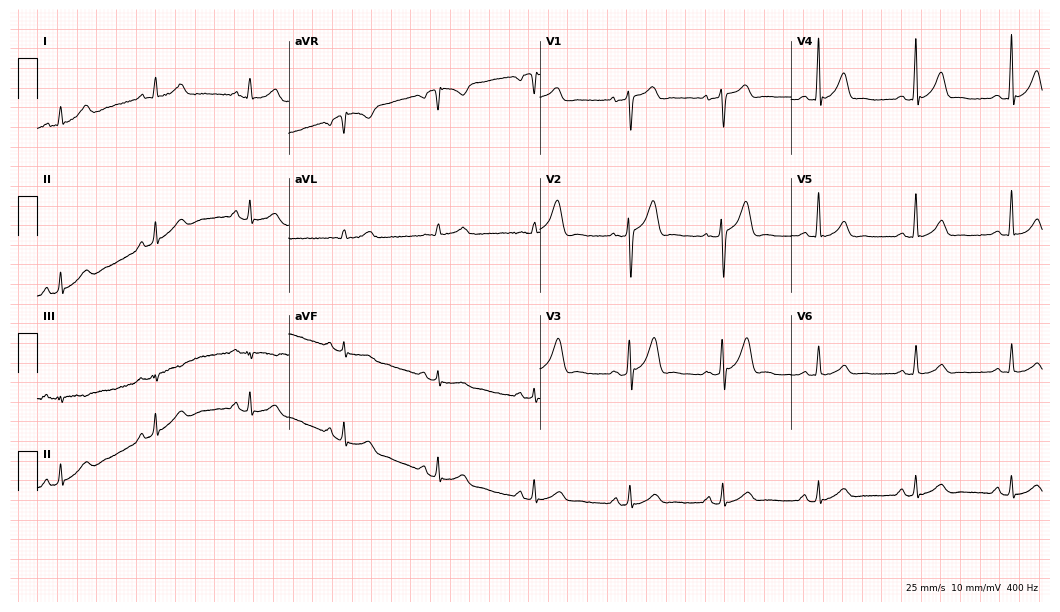
Standard 12-lead ECG recorded from a 38-year-old man (10.2-second recording at 400 Hz). Read as a normal ECG.